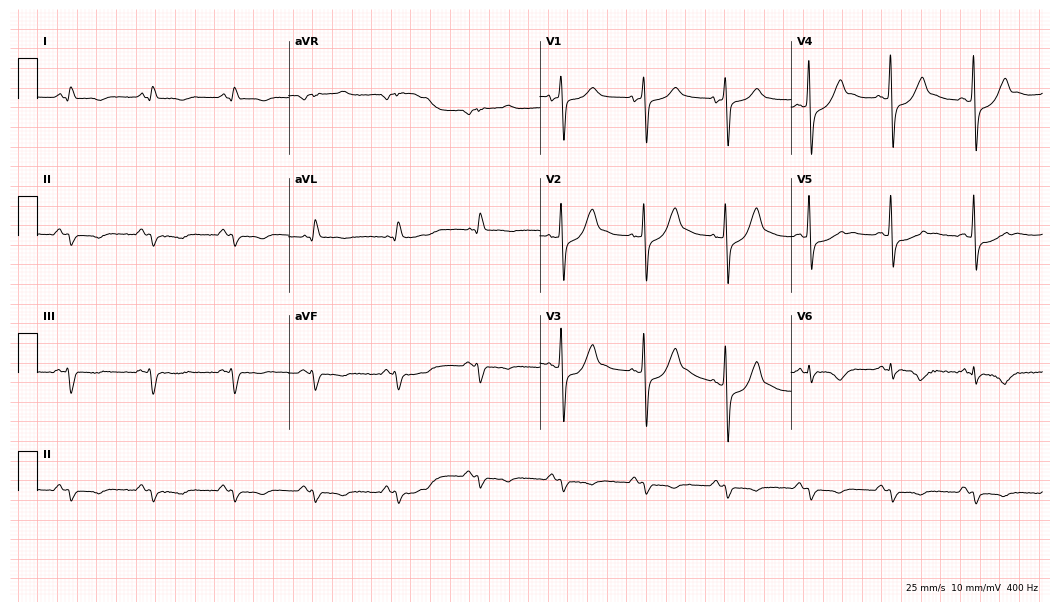
Electrocardiogram, a male patient, 82 years old. Of the six screened findings (first-degree AV block, right bundle branch block (RBBB), left bundle branch block (LBBB), sinus bradycardia, atrial fibrillation (AF), sinus tachycardia), none is recorded. Other findings, if any, are not listed.